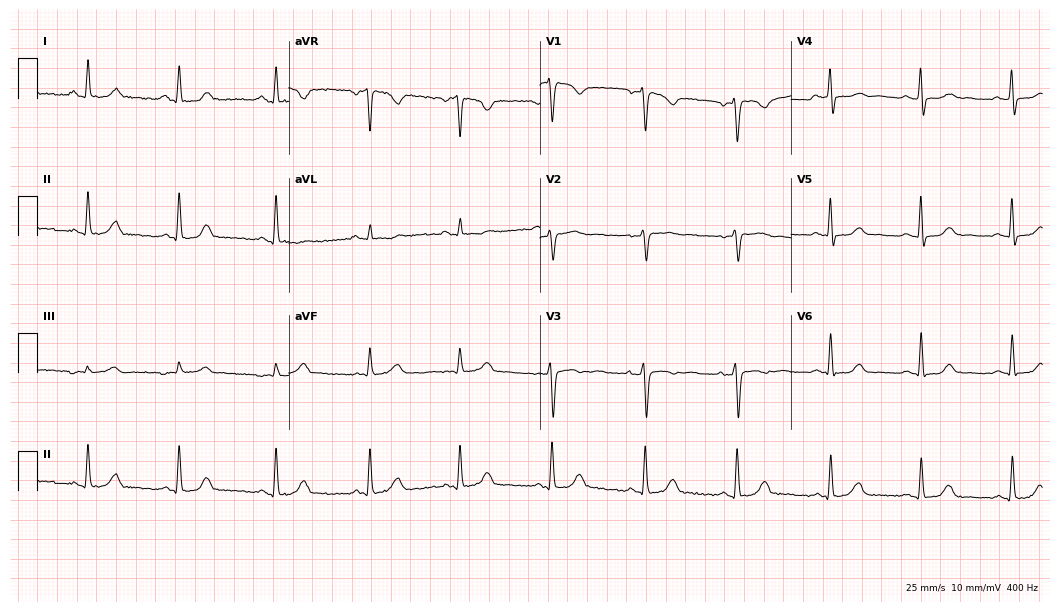
Electrocardiogram, a 42-year-old woman. Overall reading on record: normal ECG.